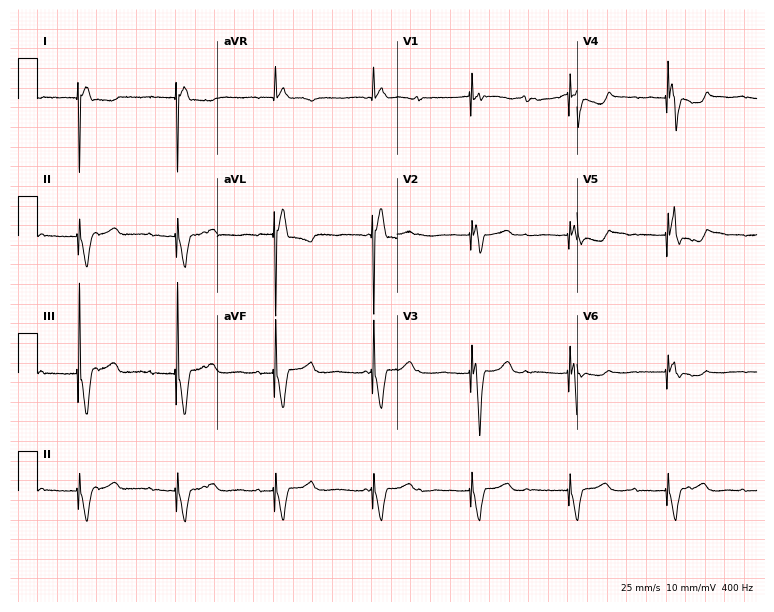
12-lead ECG (7.3-second recording at 400 Hz) from an 83-year-old male. Screened for six findings — first-degree AV block, right bundle branch block (RBBB), left bundle branch block (LBBB), sinus bradycardia, atrial fibrillation (AF), sinus tachycardia — none is recorded.